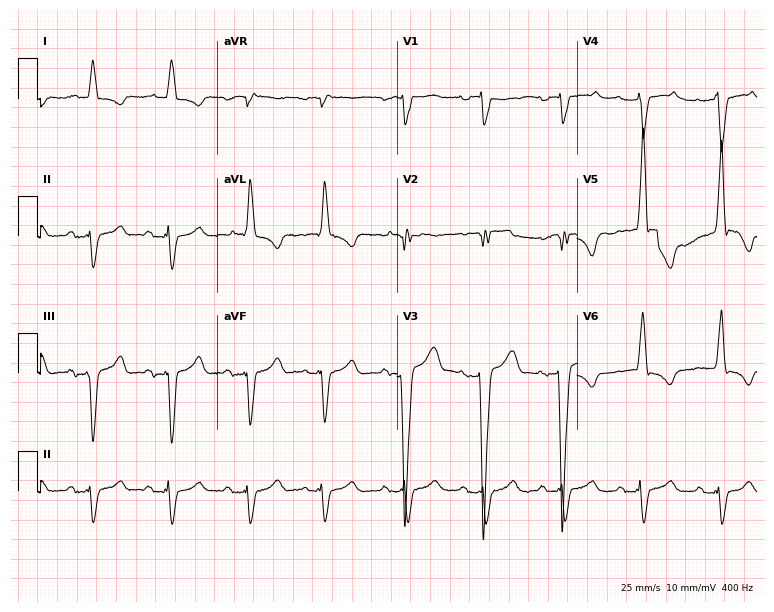
Resting 12-lead electrocardiogram (7.3-second recording at 400 Hz). Patient: a 74-year-old man. The tracing shows left bundle branch block.